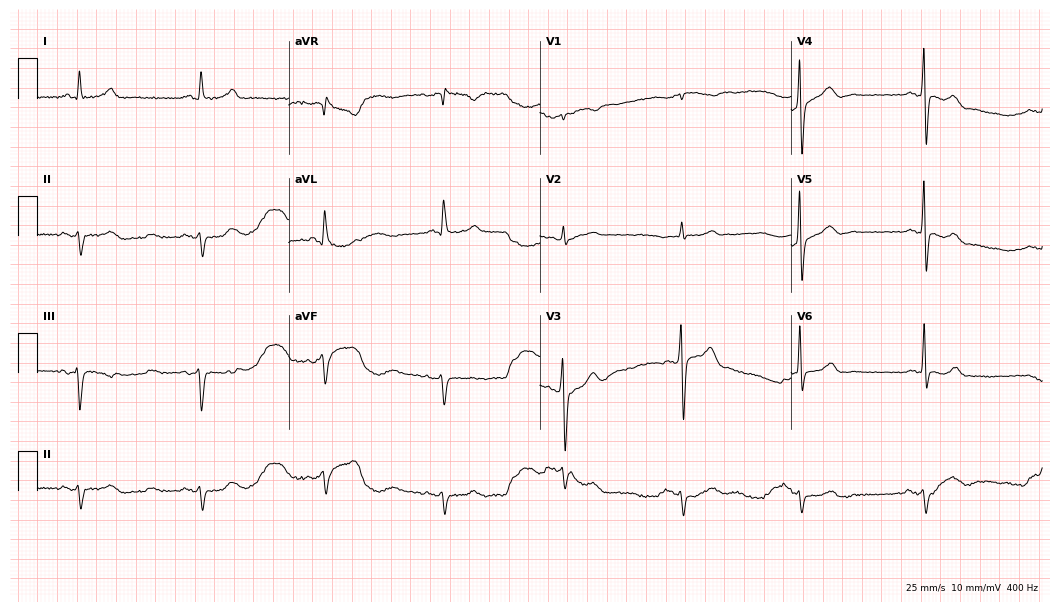
Electrocardiogram (10.2-second recording at 400 Hz), a male, 65 years old. Of the six screened findings (first-degree AV block, right bundle branch block (RBBB), left bundle branch block (LBBB), sinus bradycardia, atrial fibrillation (AF), sinus tachycardia), none is recorded. Other findings, if any, are not listed.